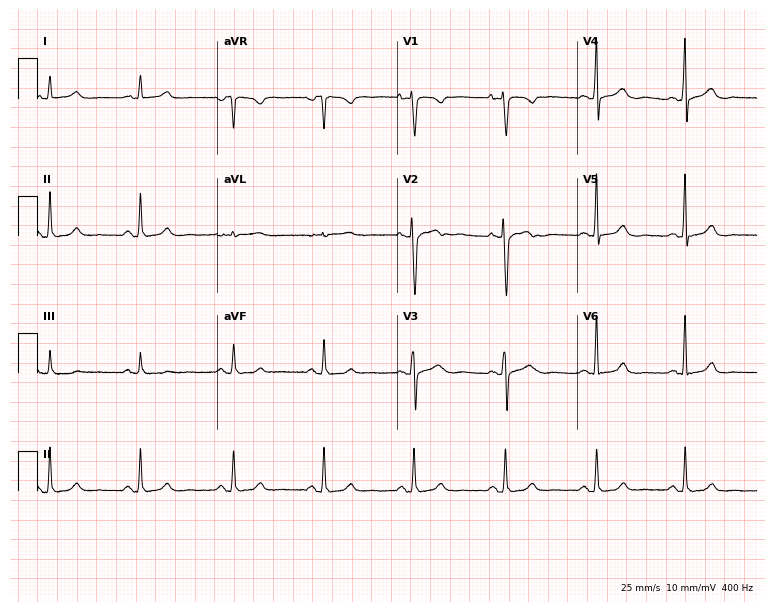
Resting 12-lead electrocardiogram (7.3-second recording at 400 Hz). Patient: a 37-year-old woman. Read as a normal ECG.